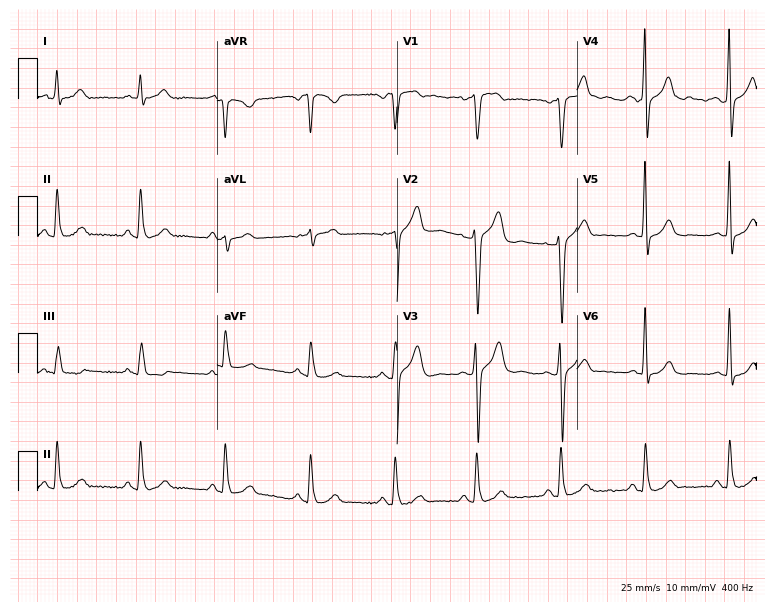
12-lead ECG from a male patient, 58 years old (7.3-second recording at 400 Hz). No first-degree AV block, right bundle branch block, left bundle branch block, sinus bradycardia, atrial fibrillation or sinus tachycardia recorded for this tracing. Other findings, if any, are not listed.